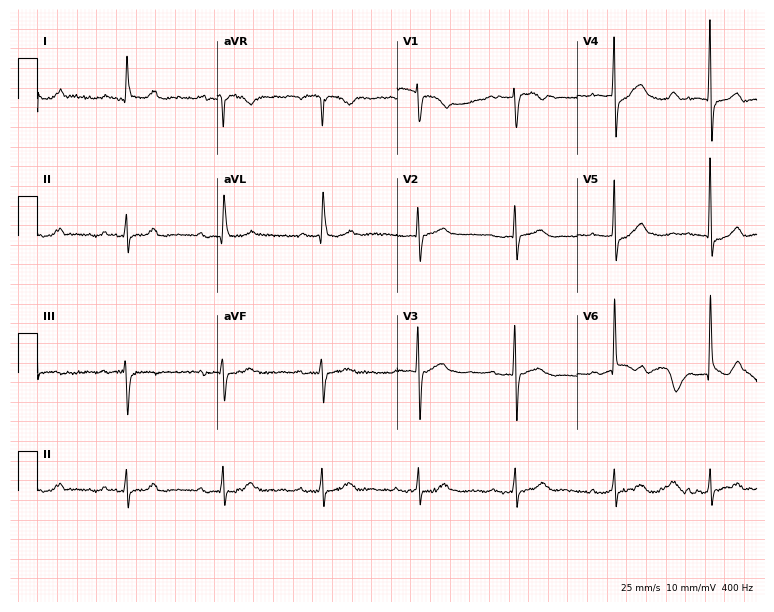
12-lead ECG from an 81-year-old female. Shows first-degree AV block.